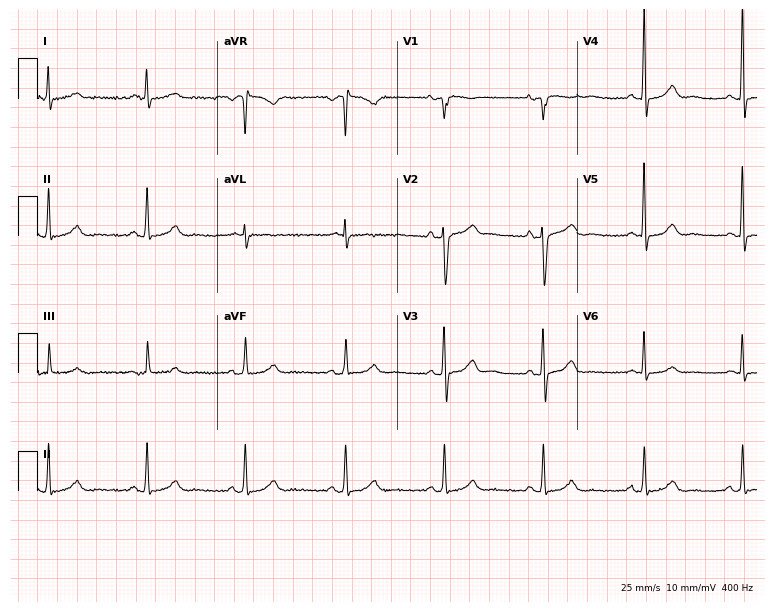
12-lead ECG from a man, 67 years old (7.3-second recording at 400 Hz). Recorded interpretation: within normal limits.